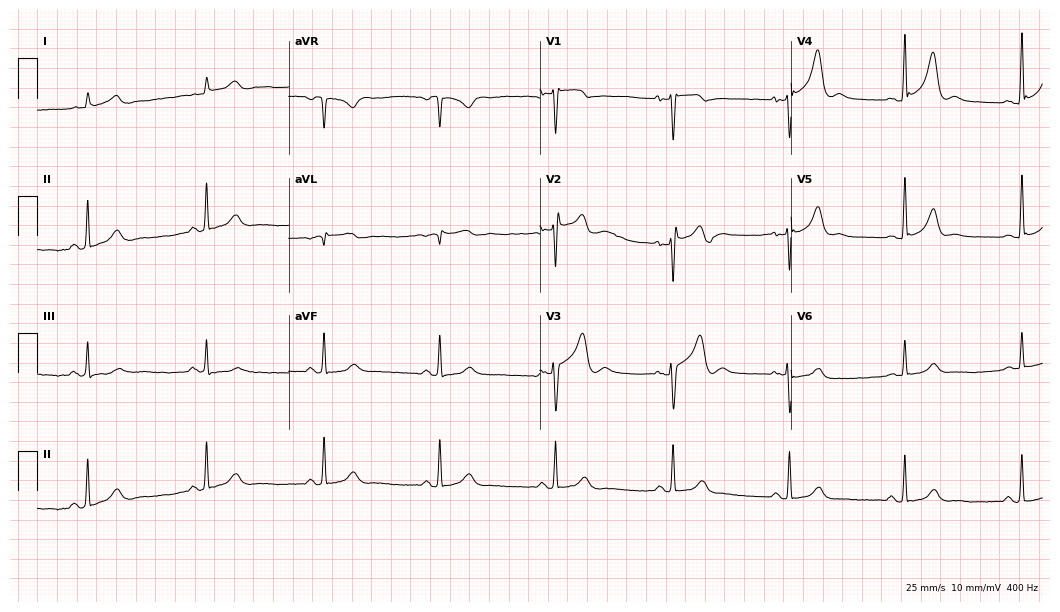
ECG (10.2-second recording at 400 Hz) — a 74-year-old male. Screened for six findings — first-degree AV block, right bundle branch block, left bundle branch block, sinus bradycardia, atrial fibrillation, sinus tachycardia — none is recorded.